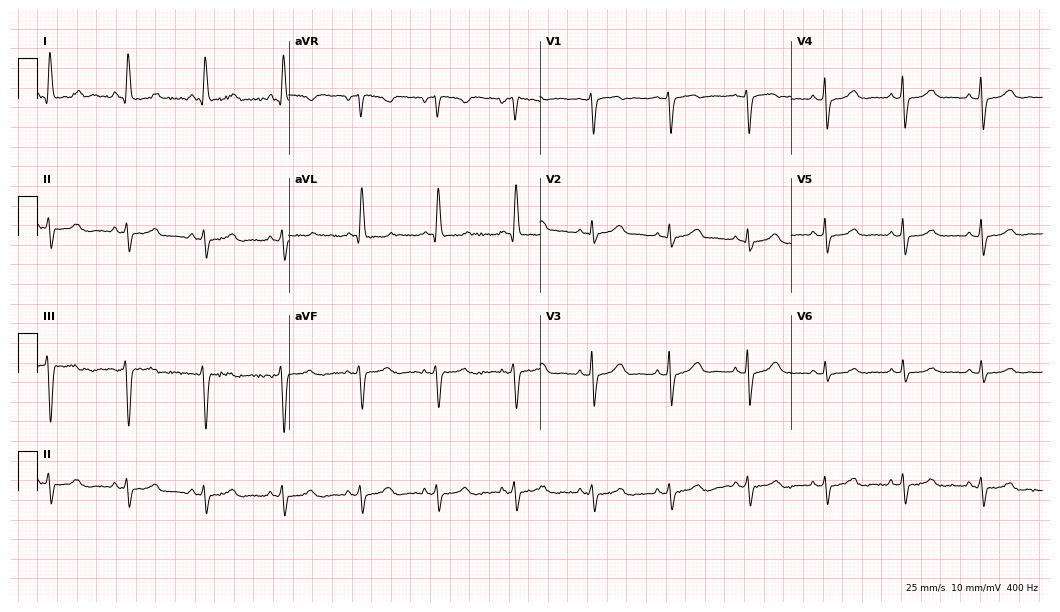
Resting 12-lead electrocardiogram. Patient: a female, 64 years old. Read as a normal ECG.